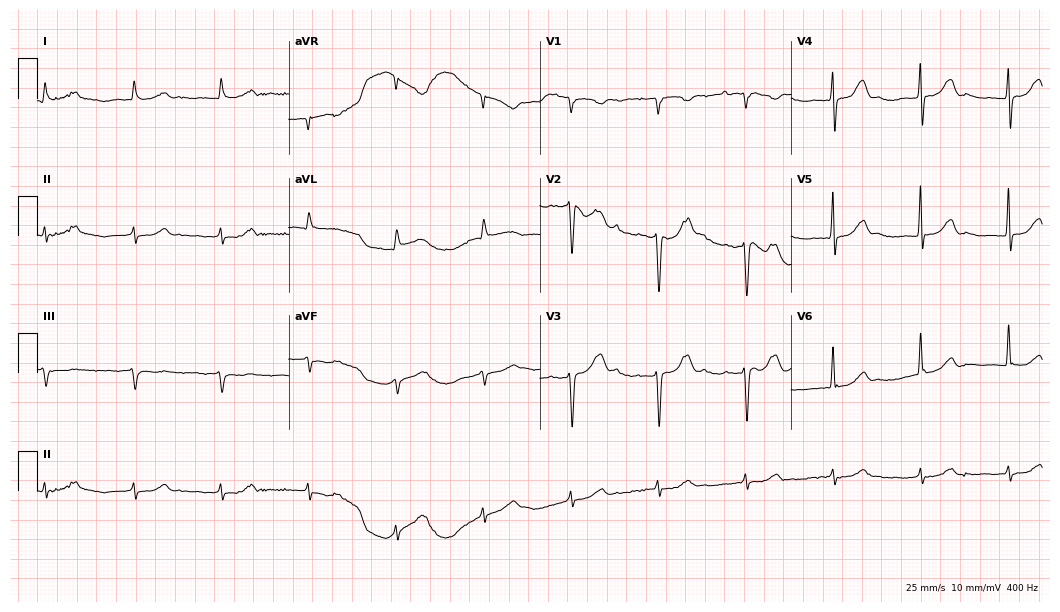
Resting 12-lead electrocardiogram. Patient: an 86-year-old male. Read as a normal ECG.